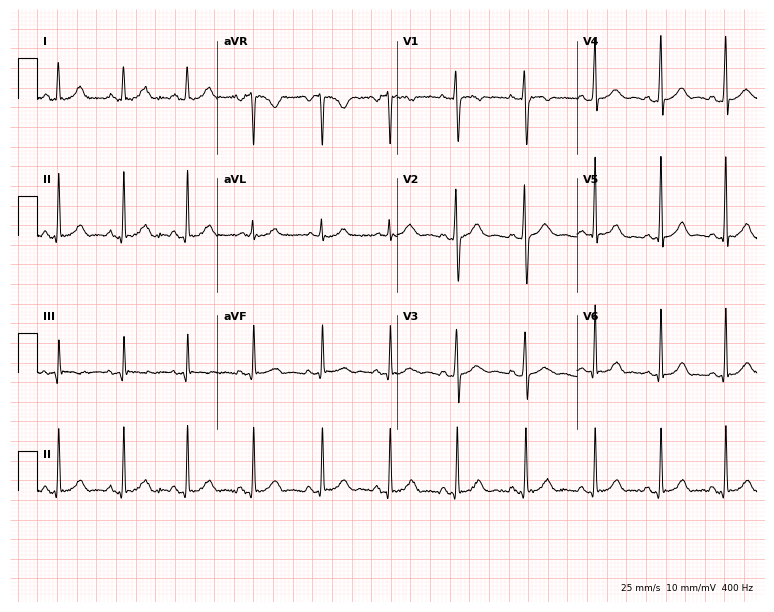
Resting 12-lead electrocardiogram. Patient: an 18-year-old female. Read as a normal ECG.